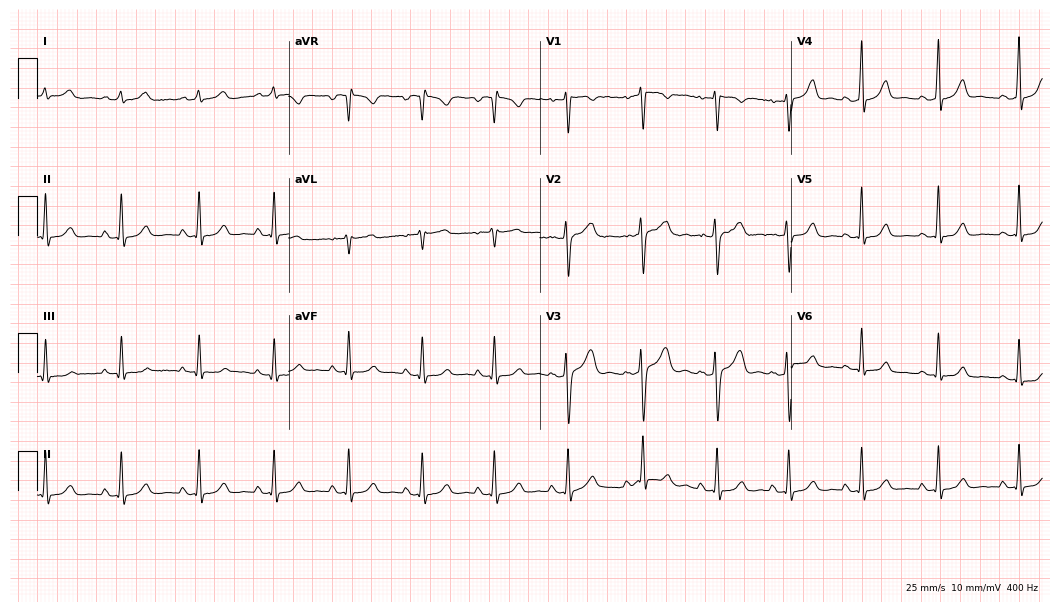
12-lead ECG from a 41-year-old female. Screened for six findings — first-degree AV block, right bundle branch block, left bundle branch block, sinus bradycardia, atrial fibrillation, sinus tachycardia — none is recorded.